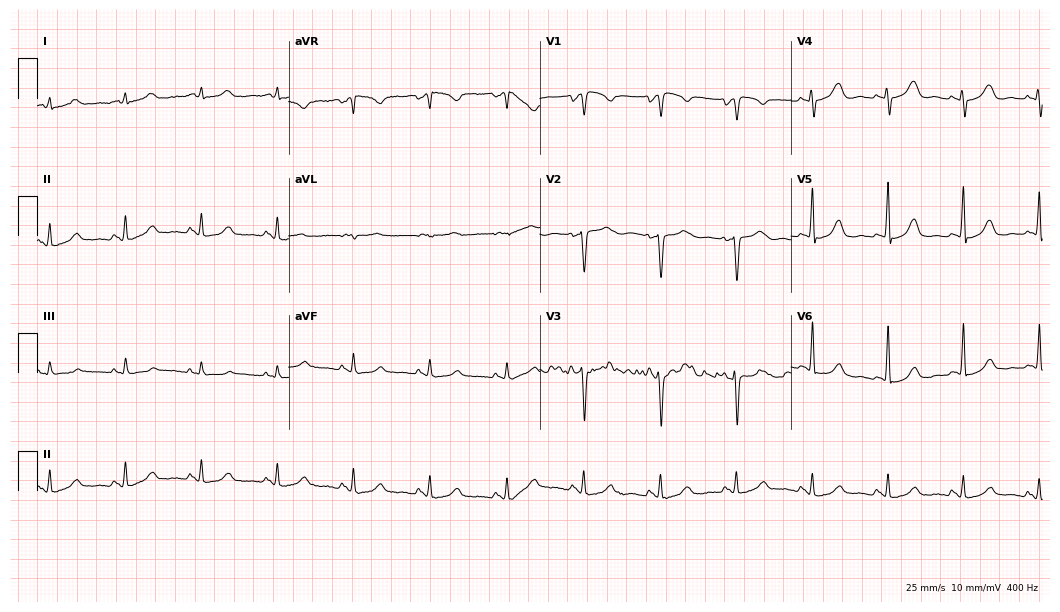
12-lead ECG from a female, 50 years old. Screened for six findings — first-degree AV block, right bundle branch block (RBBB), left bundle branch block (LBBB), sinus bradycardia, atrial fibrillation (AF), sinus tachycardia — none is recorded.